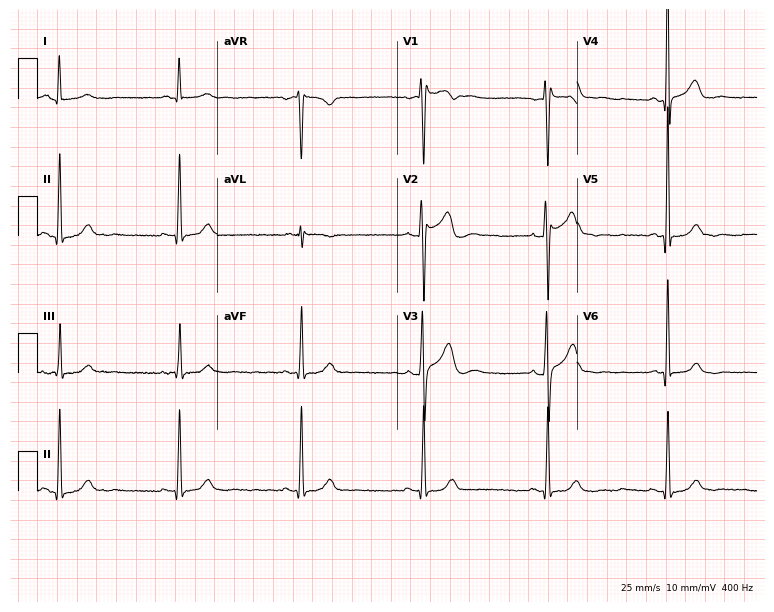
Electrocardiogram, a 59-year-old man. Interpretation includes sinus bradycardia (a sinus rate of 50 beats per minute or less).